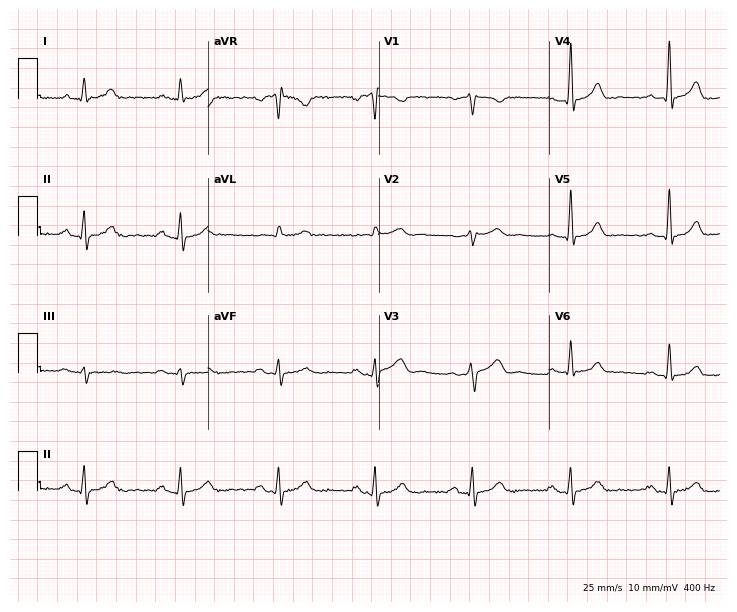
ECG (7-second recording at 400 Hz) — a female, 58 years old. Labelled as a normal ECG.